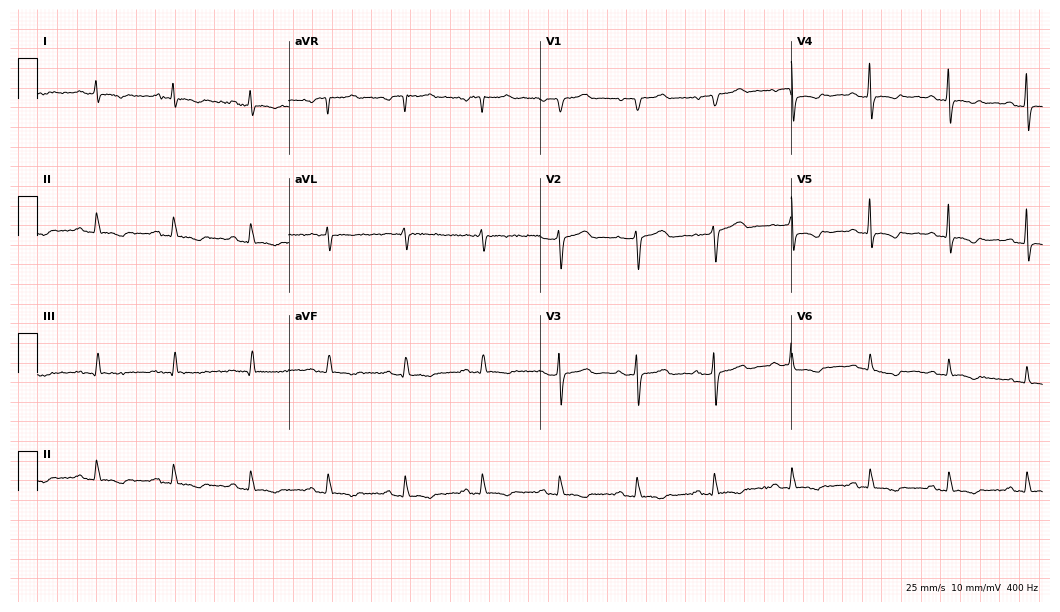
12-lead ECG (10.2-second recording at 400 Hz) from a man, 73 years old. Screened for six findings — first-degree AV block, right bundle branch block (RBBB), left bundle branch block (LBBB), sinus bradycardia, atrial fibrillation (AF), sinus tachycardia — none is recorded.